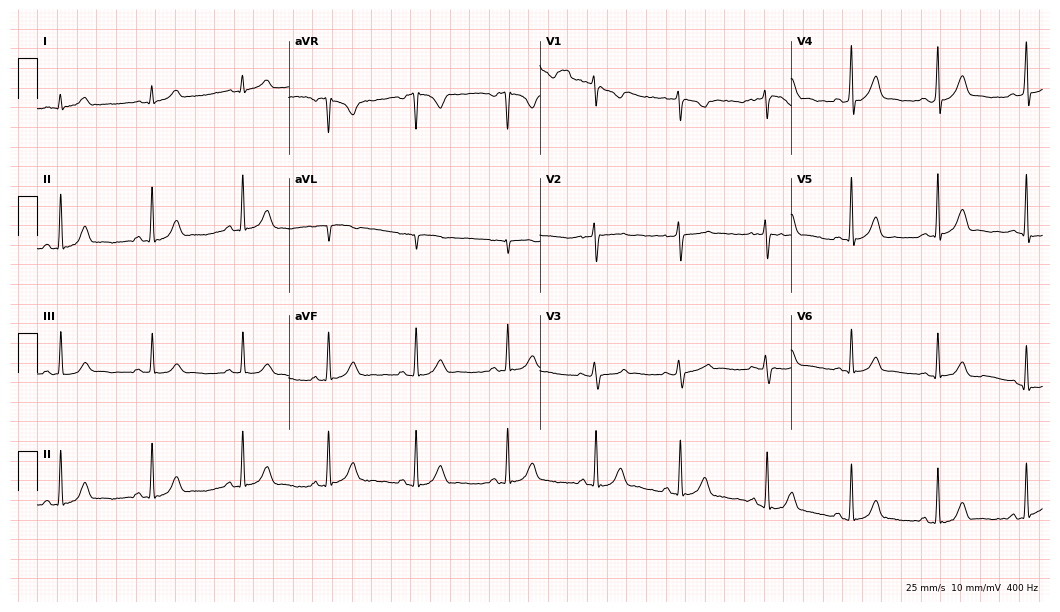
12-lead ECG (10.2-second recording at 400 Hz) from a female, 28 years old. Labelled as a normal ECG.